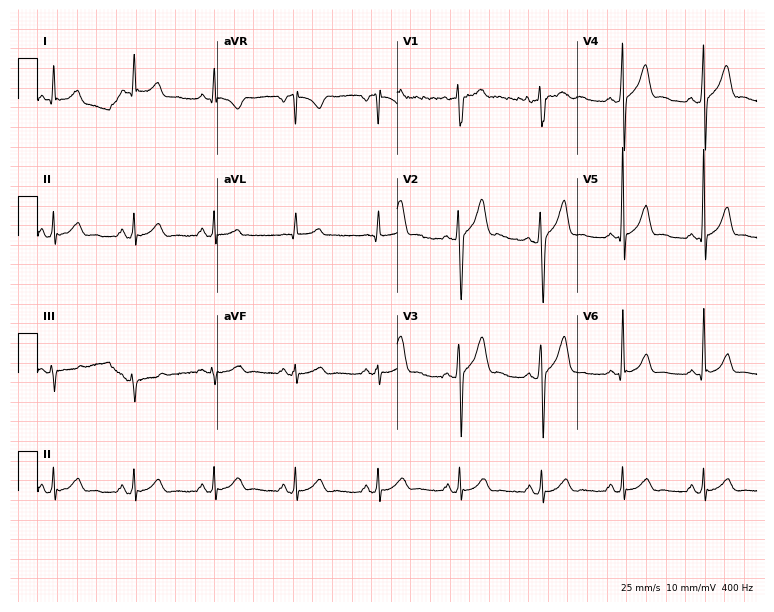
ECG — a male, 34 years old. Screened for six findings — first-degree AV block, right bundle branch block, left bundle branch block, sinus bradycardia, atrial fibrillation, sinus tachycardia — none is recorded. Findings outside these six are not listed.